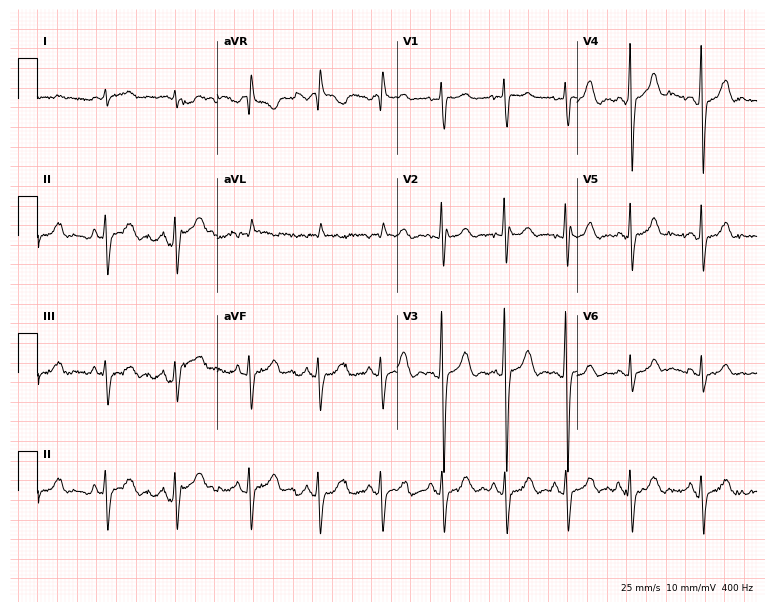
12-lead ECG (7.3-second recording at 400 Hz) from a man, 24 years old. Labelled as a normal ECG.